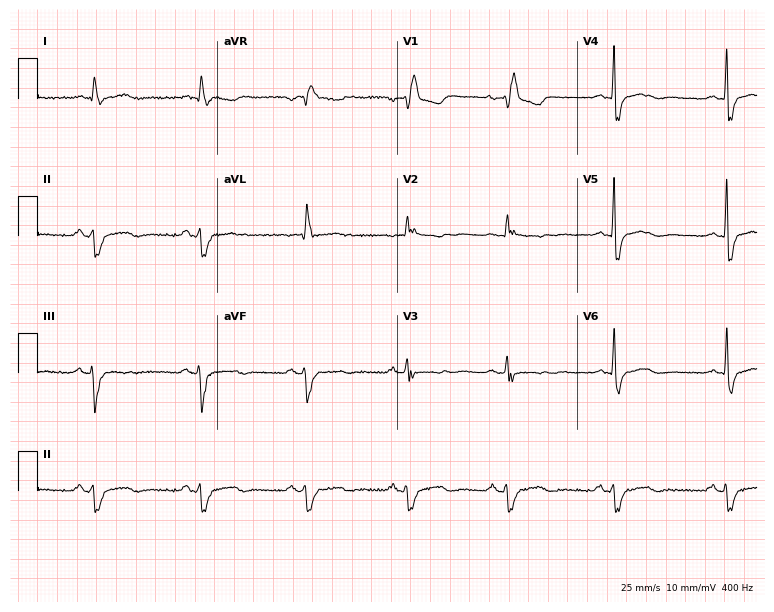
Standard 12-lead ECG recorded from a female, 66 years old (7.3-second recording at 400 Hz). The tracing shows right bundle branch block.